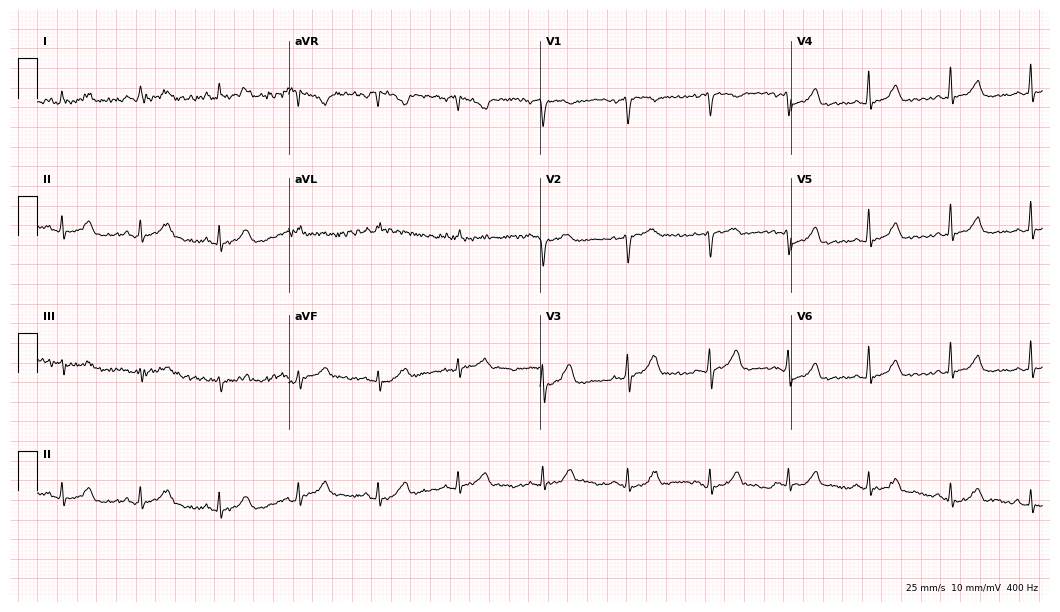
Electrocardiogram, a 48-year-old woman. Overall reading on record: normal ECG.